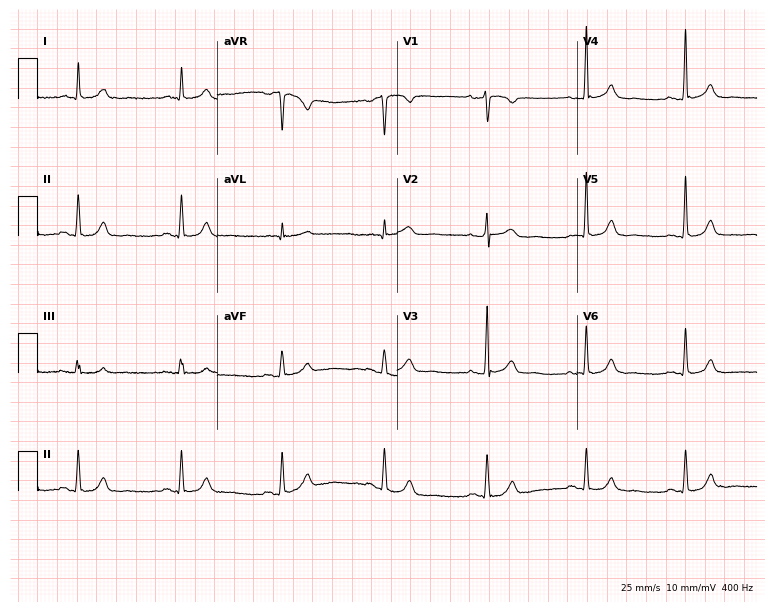
Electrocardiogram (7.3-second recording at 400 Hz), a male, 49 years old. Overall reading on record: normal ECG.